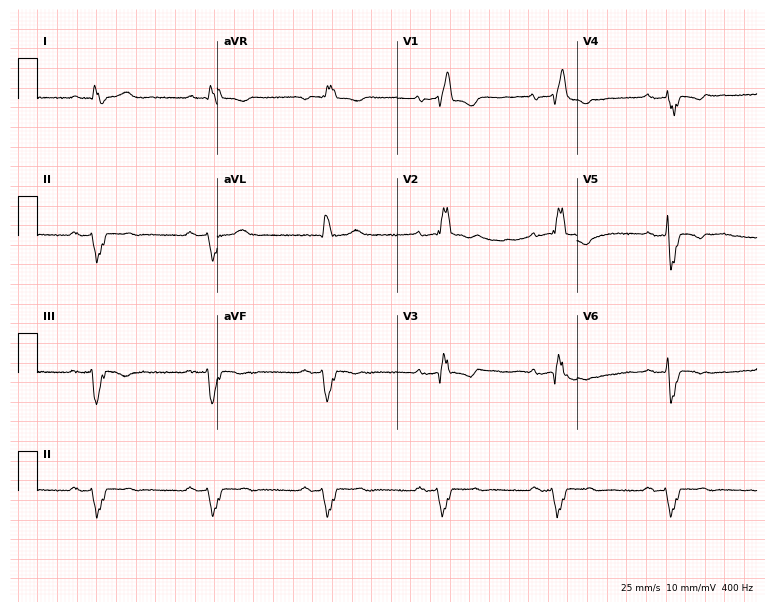
Resting 12-lead electrocardiogram. Patient: a man, 59 years old. The tracing shows right bundle branch block.